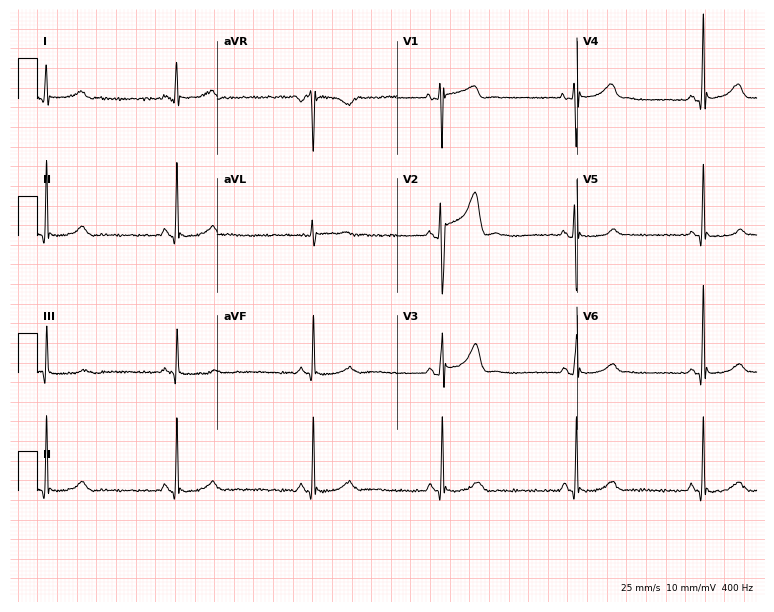
12-lead ECG from a male patient, 49 years old. Shows sinus bradycardia (a sinus rate of 50 beats per minute or less).